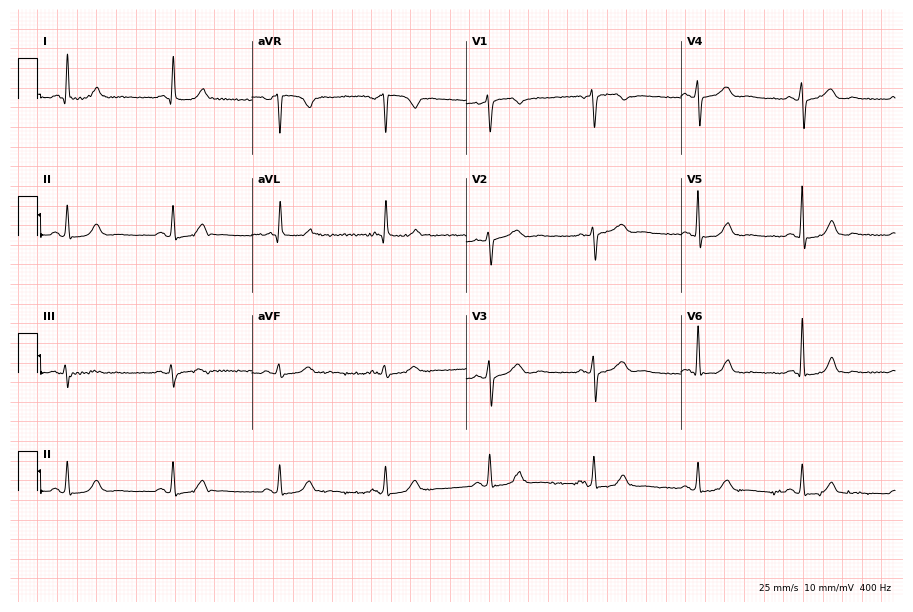
Standard 12-lead ECG recorded from a 68-year-old female patient (8.7-second recording at 400 Hz). Read as a normal ECG.